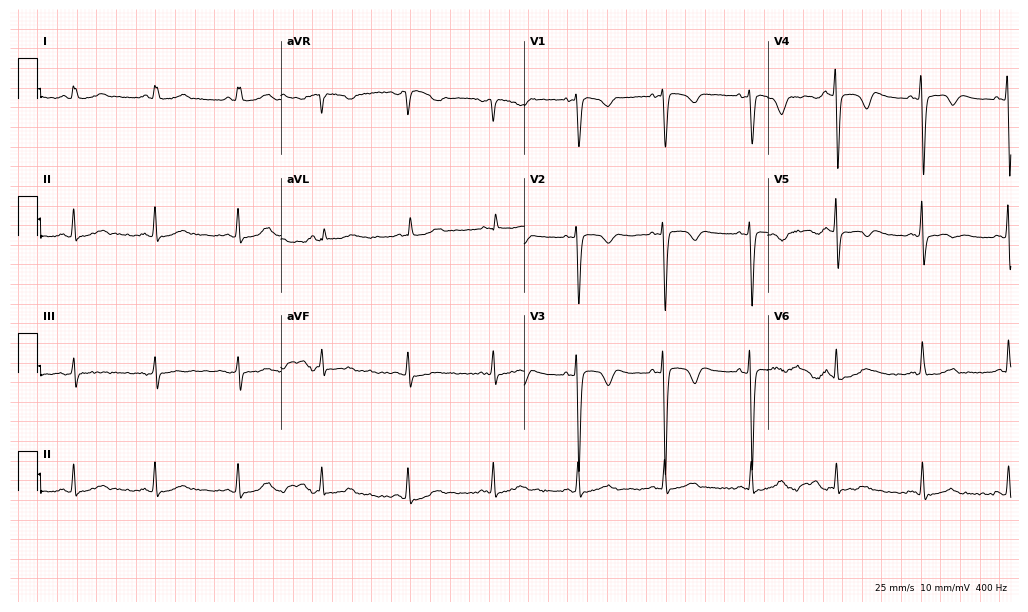
Electrocardiogram, a 56-year-old male patient. Of the six screened findings (first-degree AV block, right bundle branch block (RBBB), left bundle branch block (LBBB), sinus bradycardia, atrial fibrillation (AF), sinus tachycardia), none is recorded.